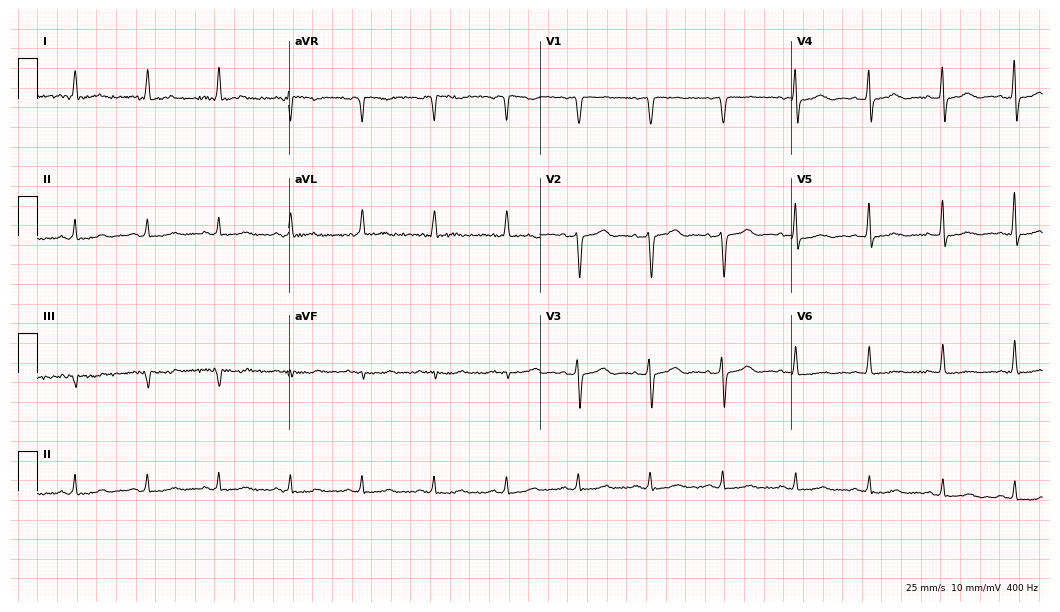
12-lead ECG from a 62-year-old woman. No first-degree AV block, right bundle branch block (RBBB), left bundle branch block (LBBB), sinus bradycardia, atrial fibrillation (AF) or sinus tachycardia recorded for this tracing.